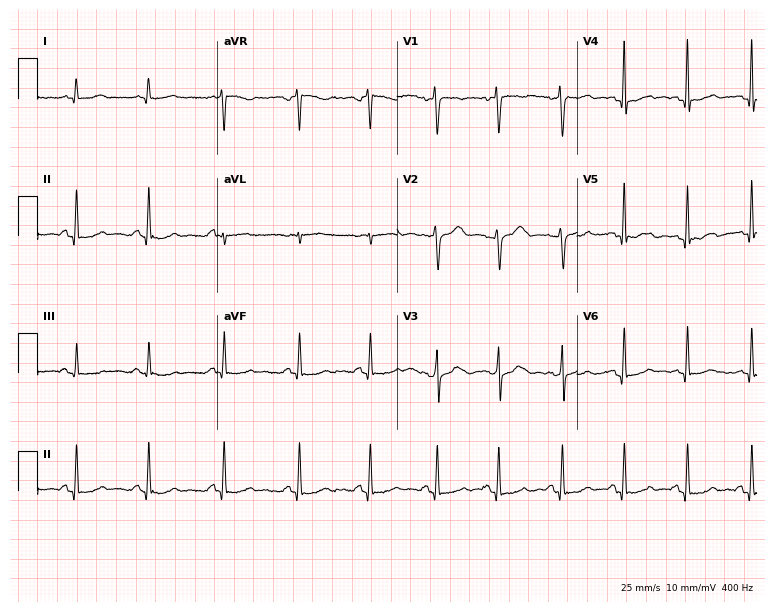
Resting 12-lead electrocardiogram (7.3-second recording at 400 Hz). Patient: a woman, 40 years old. None of these six findings is recorded: first-degree AV block, right bundle branch block, left bundle branch block, sinus bradycardia, atrial fibrillation, sinus tachycardia. Other findings, if any, are not listed.